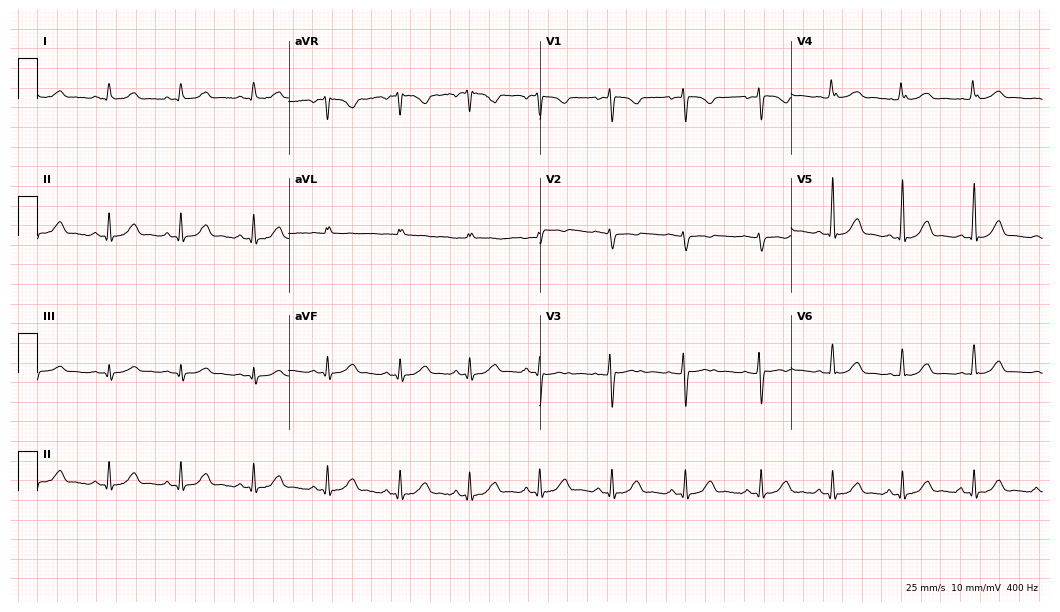
12-lead ECG from a female, 26 years old (10.2-second recording at 400 Hz). Recorded interpretation: within normal limits.